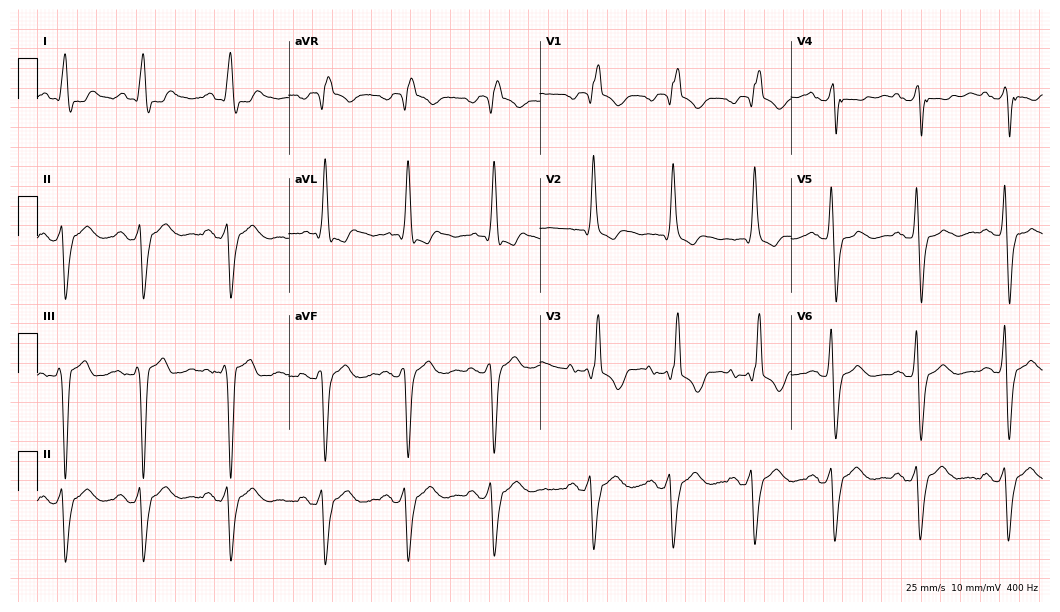
Standard 12-lead ECG recorded from a woman, 74 years old. The tracing shows right bundle branch block.